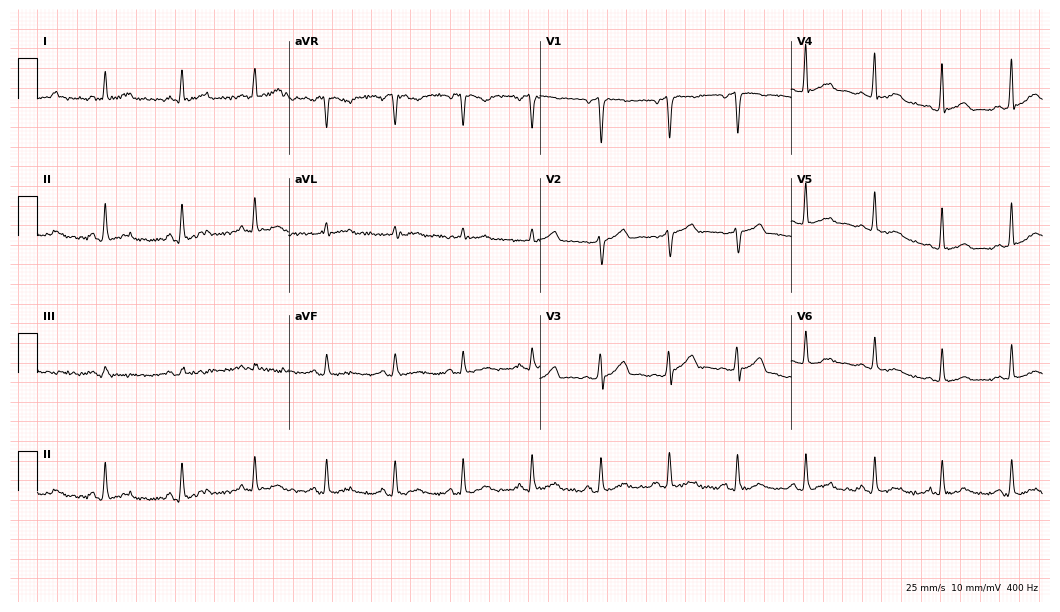
12-lead ECG (10.2-second recording at 400 Hz) from a male, 39 years old. Labelled as a normal ECG.